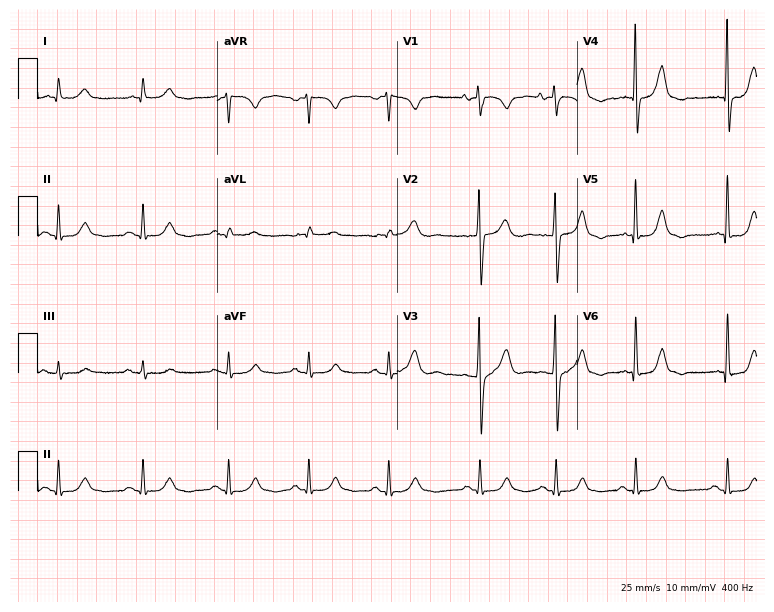
12-lead ECG from a 65-year-old man. Labelled as a normal ECG.